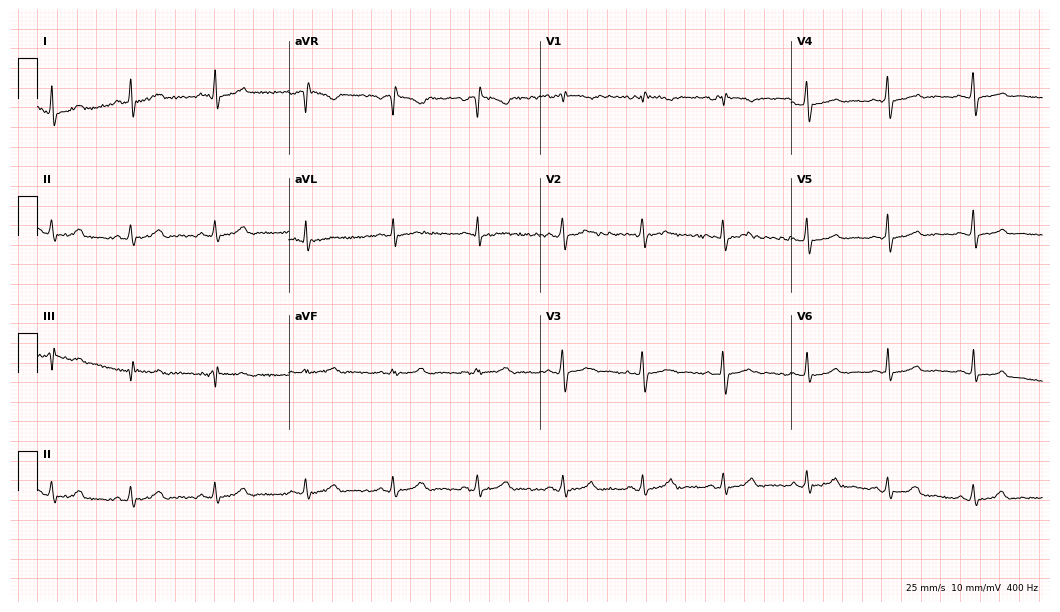
12-lead ECG from a woman, 31 years old. No first-degree AV block, right bundle branch block, left bundle branch block, sinus bradycardia, atrial fibrillation or sinus tachycardia recorded for this tracing. Only these six findings were labelled.